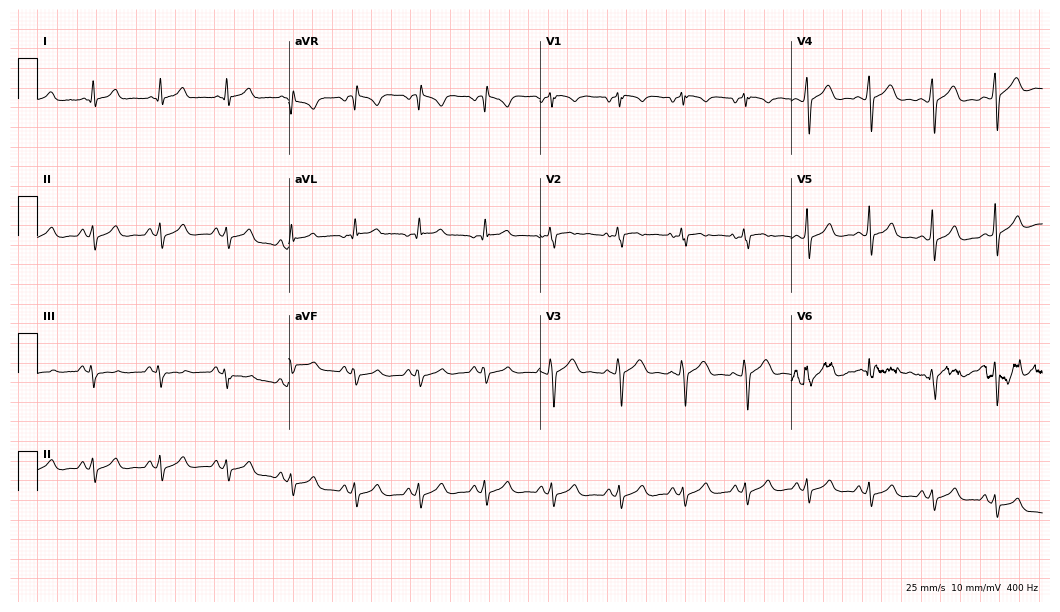
Resting 12-lead electrocardiogram (10.2-second recording at 400 Hz). Patient: a 21-year-old male. Read as a normal ECG.